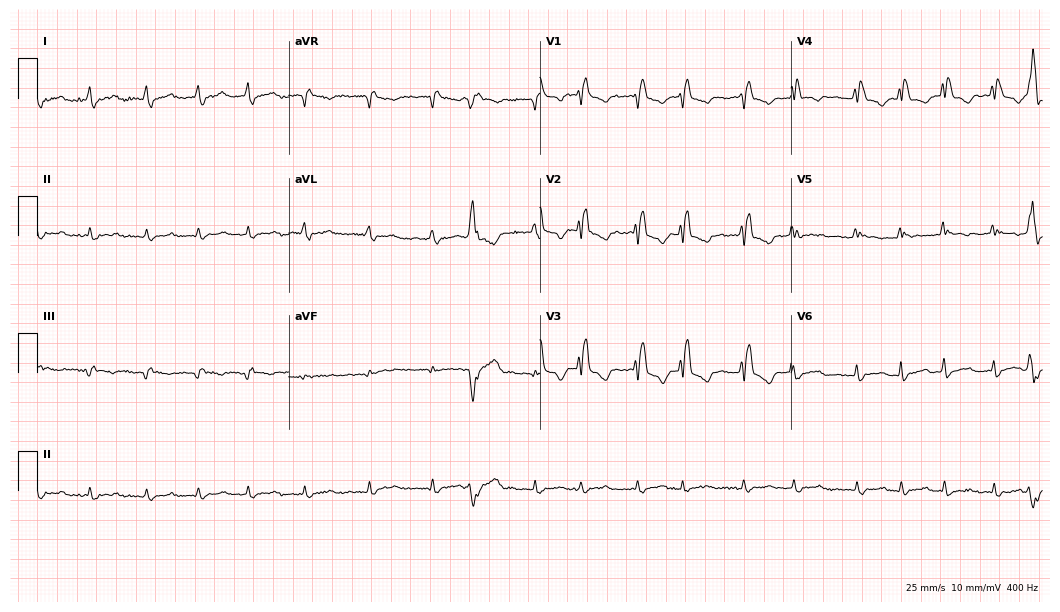
ECG (10.2-second recording at 400 Hz) — a 57-year-old woman. Findings include right bundle branch block, atrial fibrillation.